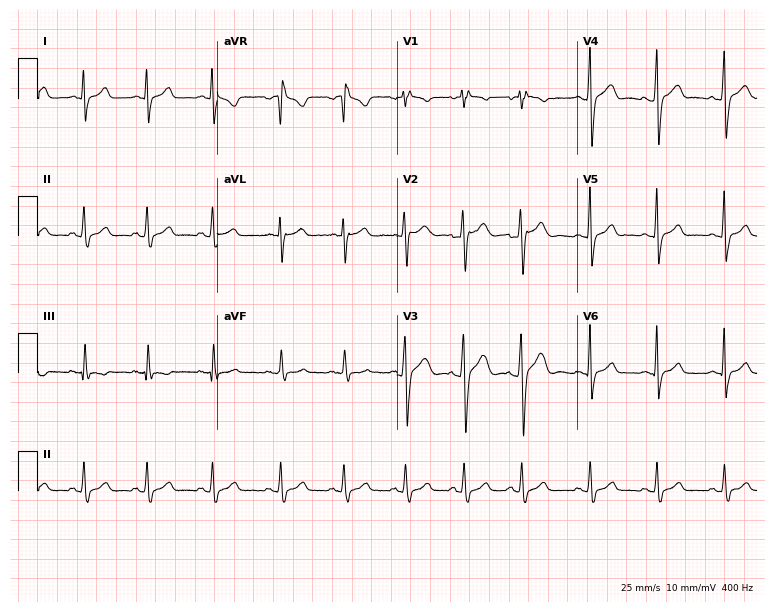
Resting 12-lead electrocardiogram (7.3-second recording at 400 Hz). Patient: an 18-year-old man. None of these six findings is recorded: first-degree AV block, right bundle branch block, left bundle branch block, sinus bradycardia, atrial fibrillation, sinus tachycardia.